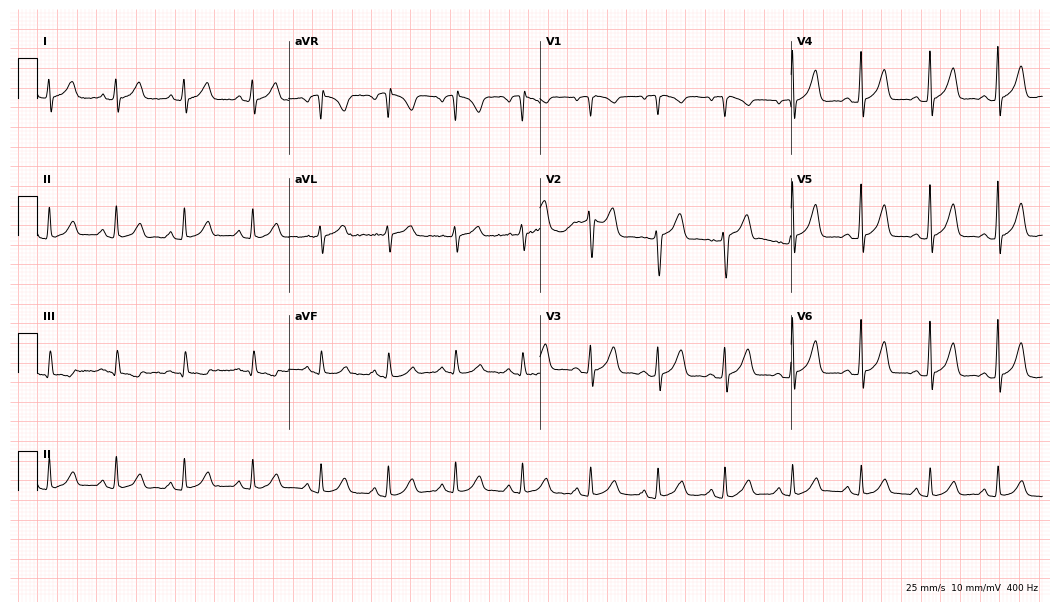
Standard 12-lead ECG recorded from a female patient, 51 years old. Read as a normal ECG.